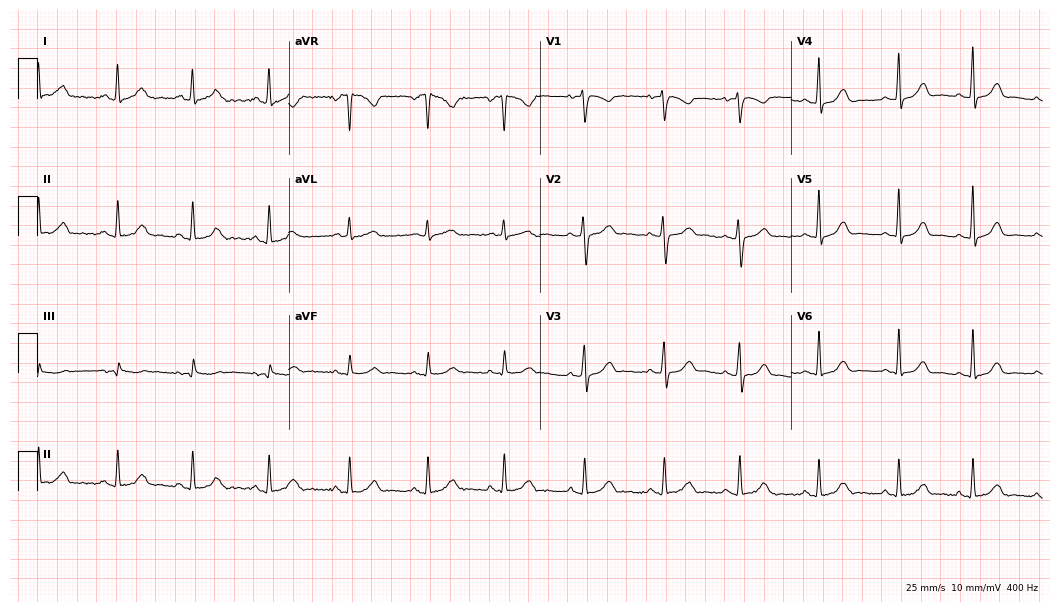
Electrocardiogram, a female patient, 26 years old. Overall reading on record: normal ECG.